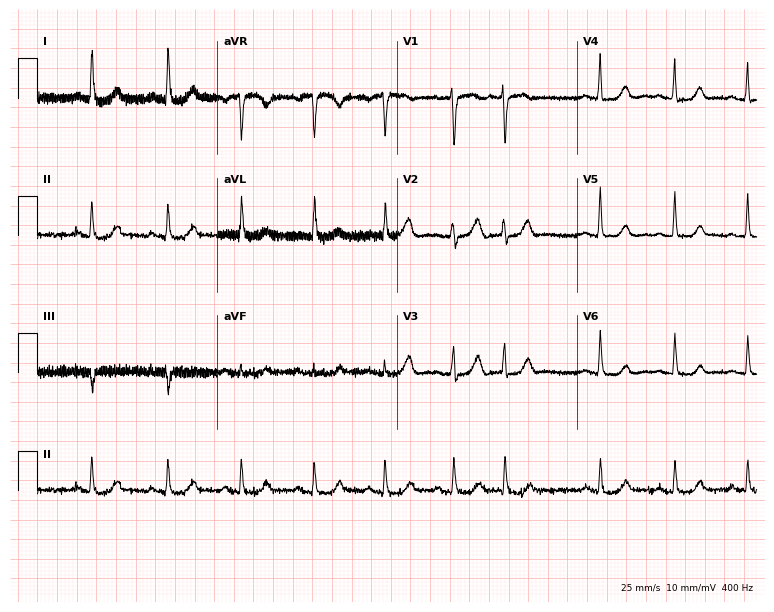
12-lead ECG from a 70-year-old female patient (7.3-second recording at 400 Hz). No first-degree AV block, right bundle branch block (RBBB), left bundle branch block (LBBB), sinus bradycardia, atrial fibrillation (AF) or sinus tachycardia recorded for this tracing. Other findings, if any, are not listed.